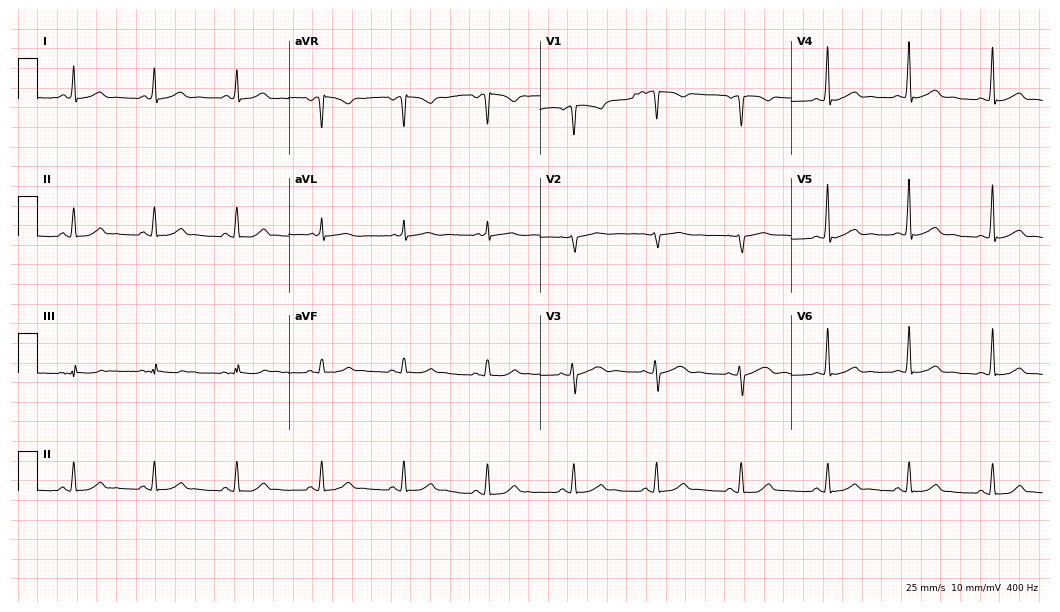
Electrocardiogram, a female, 31 years old. Overall reading on record: normal ECG.